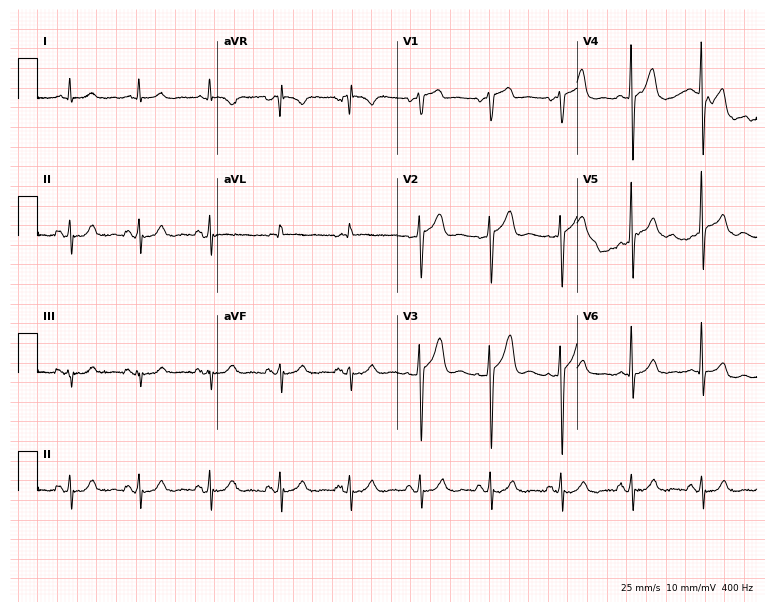
12-lead ECG from a 61-year-old male. Screened for six findings — first-degree AV block, right bundle branch block (RBBB), left bundle branch block (LBBB), sinus bradycardia, atrial fibrillation (AF), sinus tachycardia — none is recorded. Findings outside these six are not listed.